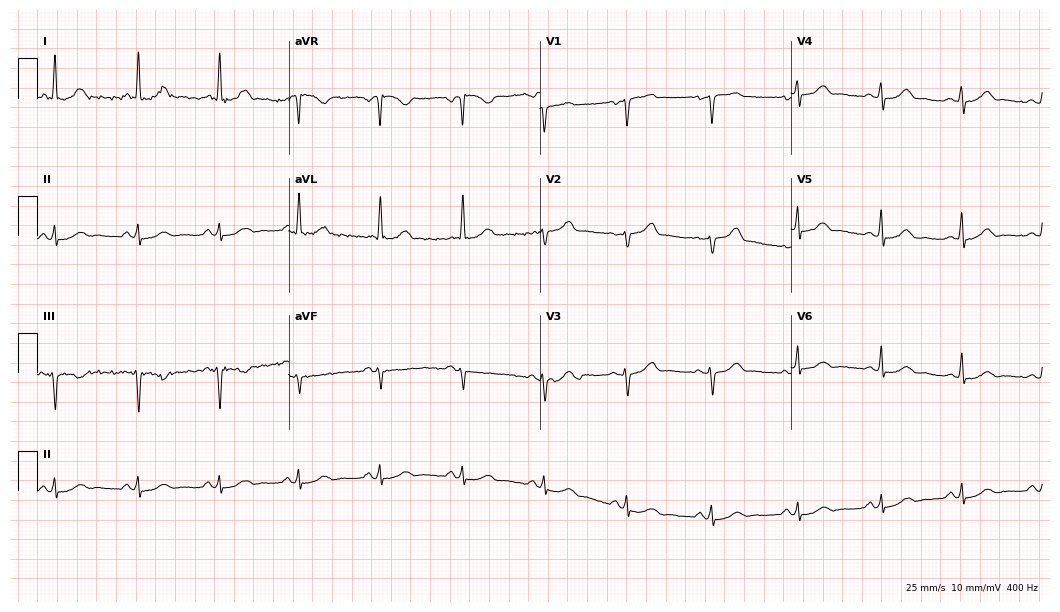
12-lead ECG from a 51-year-old female. Labelled as a normal ECG.